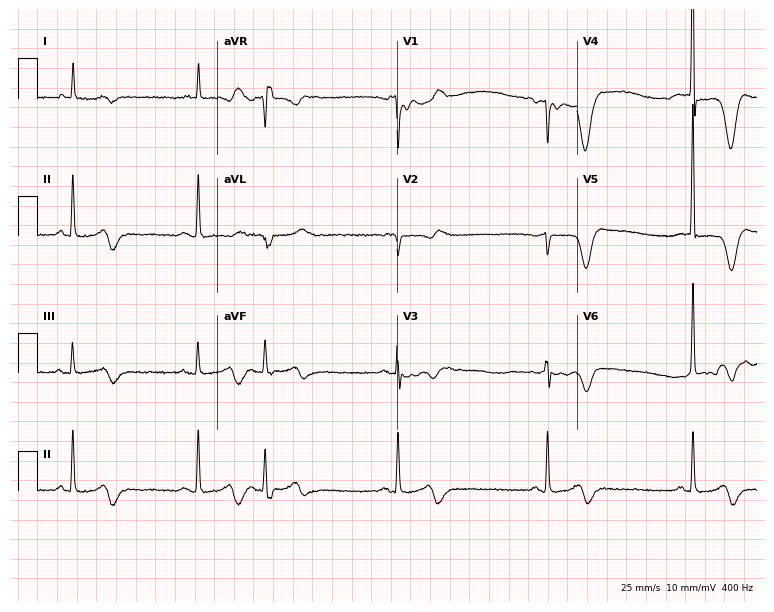
Resting 12-lead electrocardiogram. Patient: a woman, 83 years old. None of these six findings is recorded: first-degree AV block, right bundle branch block, left bundle branch block, sinus bradycardia, atrial fibrillation, sinus tachycardia.